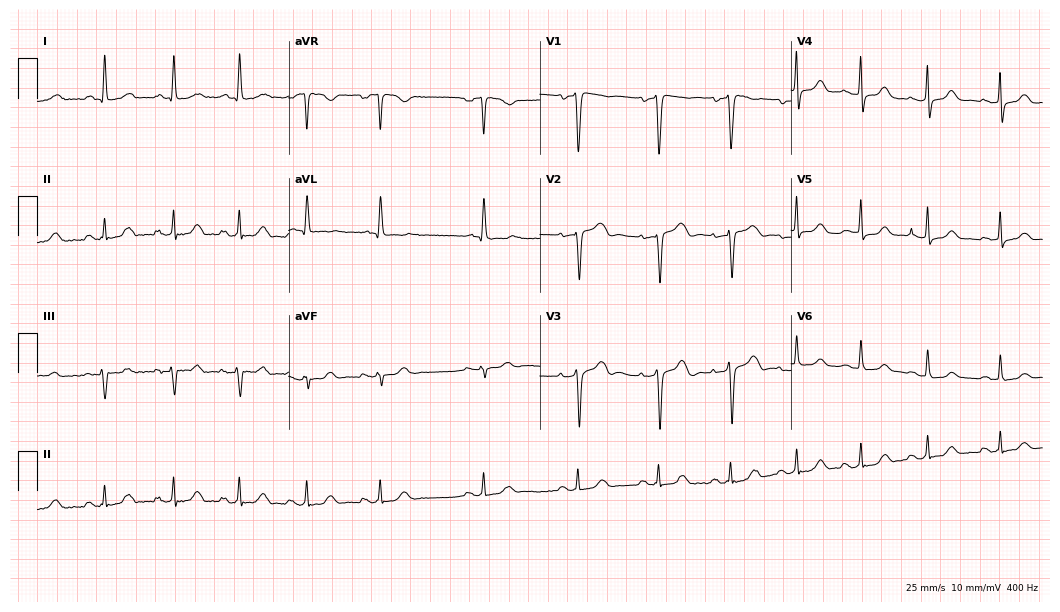
Standard 12-lead ECG recorded from a 62-year-old female patient. Read as a normal ECG.